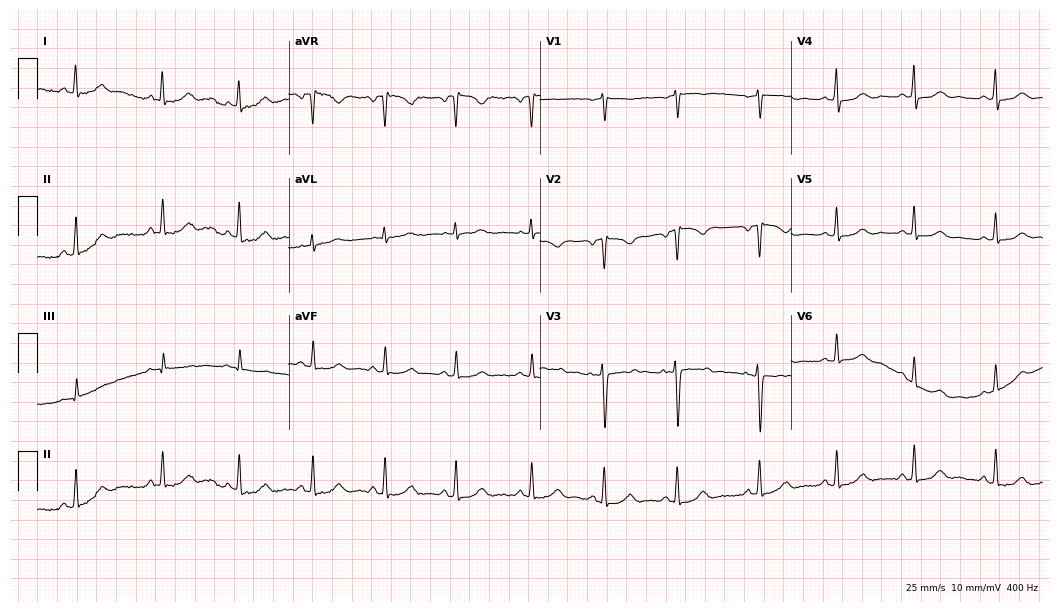
12-lead ECG (10.2-second recording at 400 Hz) from a 52-year-old female patient. Labelled as a normal ECG.